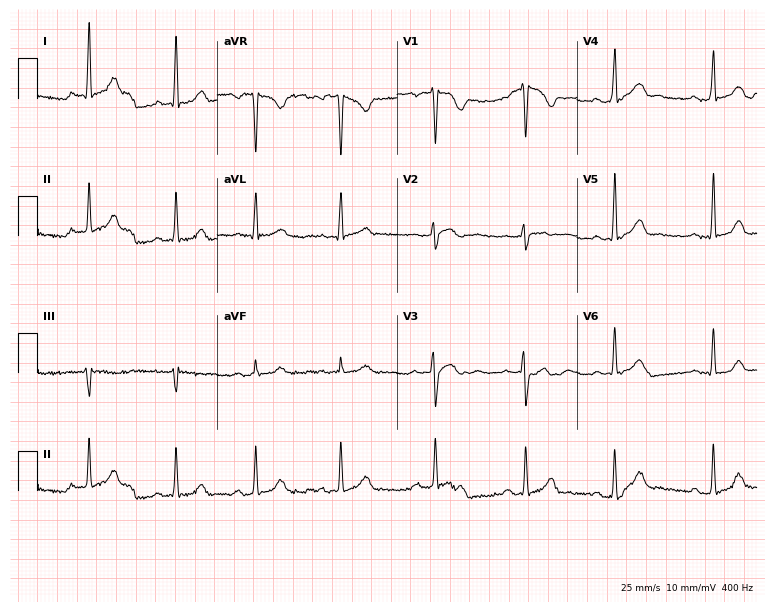
12-lead ECG from a female patient, 22 years old. Recorded interpretation: within normal limits.